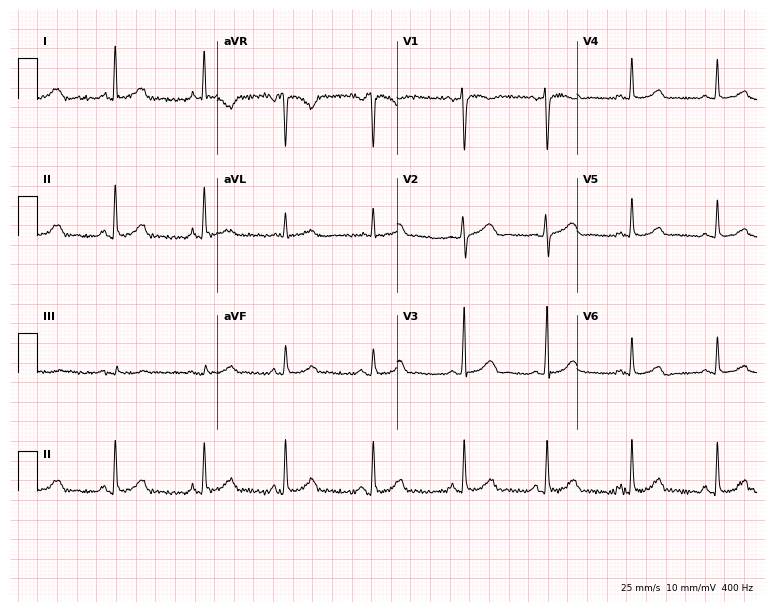
Resting 12-lead electrocardiogram. Patient: a 47-year-old female. Read as a normal ECG.